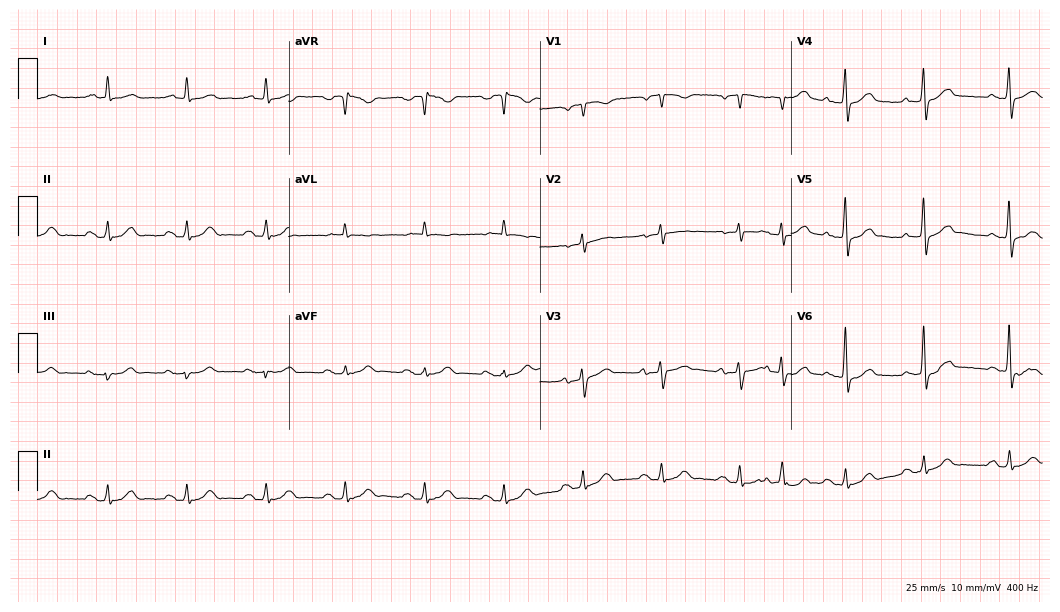
Electrocardiogram, a male, 65 years old. Overall reading on record: normal ECG.